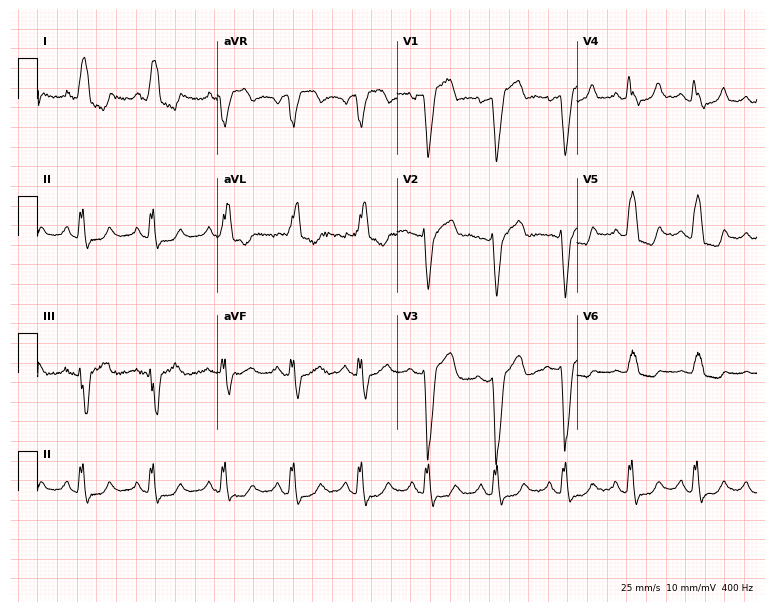
Electrocardiogram, a female patient, 58 years old. Interpretation includes left bundle branch block.